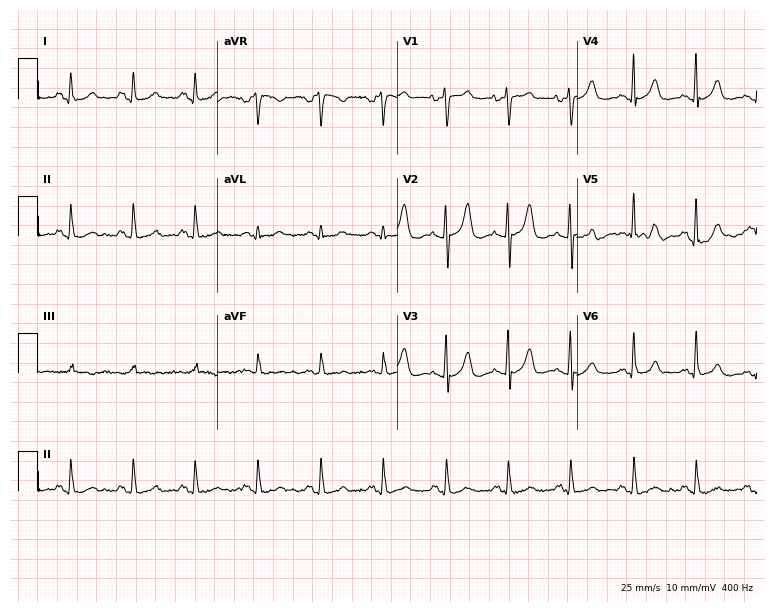
Standard 12-lead ECG recorded from a female patient, 43 years old. None of these six findings is recorded: first-degree AV block, right bundle branch block, left bundle branch block, sinus bradycardia, atrial fibrillation, sinus tachycardia. Findings outside these six are not listed.